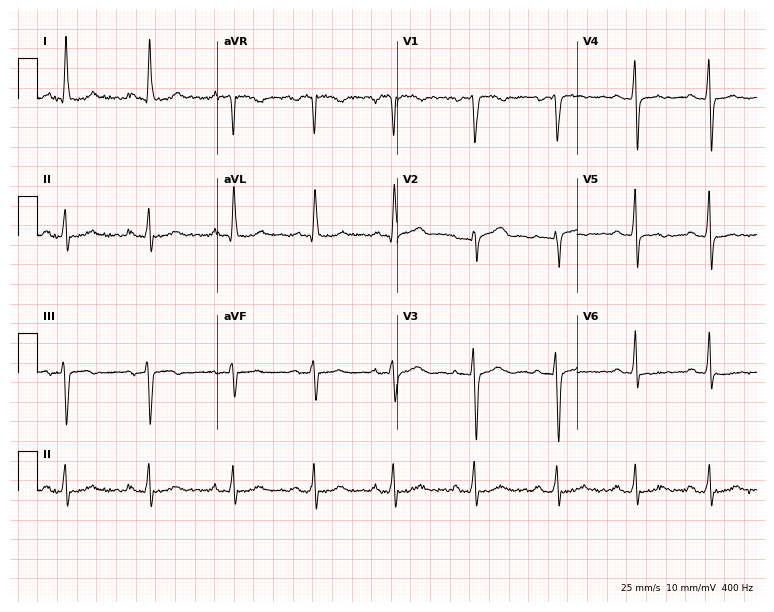
12-lead ECG (7.3-second recording at 400 Hz) from a 53-year-old female patient. Screened for six findings — first-degree AV block, right bundle branch block, left bundle branch block, sinus bradycardia, atrial fibrillation, sinus tachycardia — none is recorded. Only these six findings were labelled.